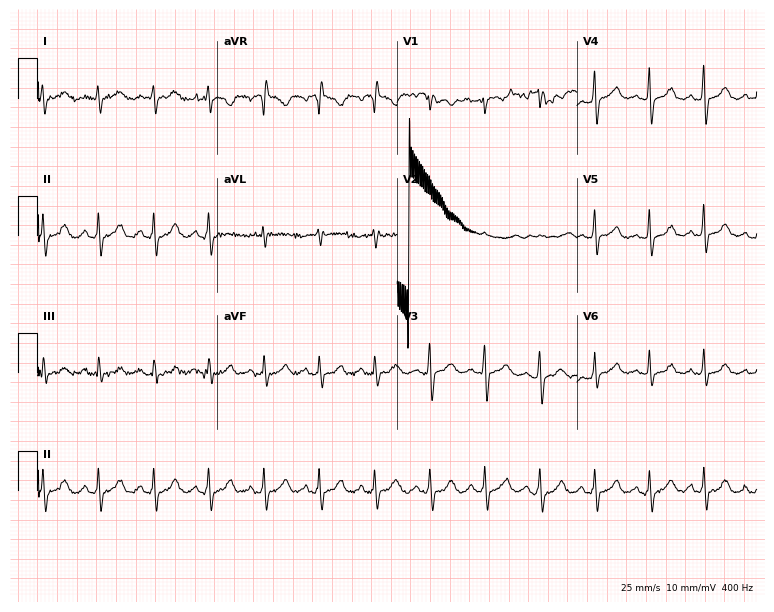
12-lead ECG from a 51-year-old woman (7.3-second recording at 400 Hz). No first-degree AV block, right bundle branch block (RBBB), left bundle branch block (LBBB), sinus bradycardia, atrial fibrillation (AF) or sinus tachycardia recorded for this tracing. Other findings, if any, are not listed.